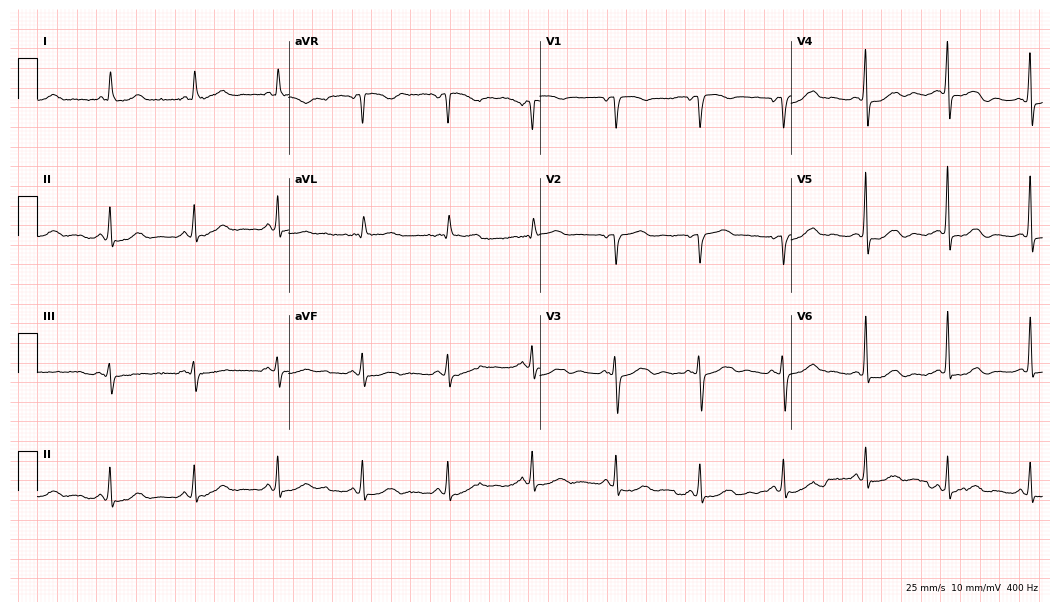
12-lead ECG (10.2-second recording at 400 Hz) from a woman, 72 years old. Screened for six findings — first-degree AV block, right bundle branch block (RBBB), left bundle branch block (LBBB), sinus bradycardia, atrial fibrillation (AF), sinus tachycardia — none is recorded.